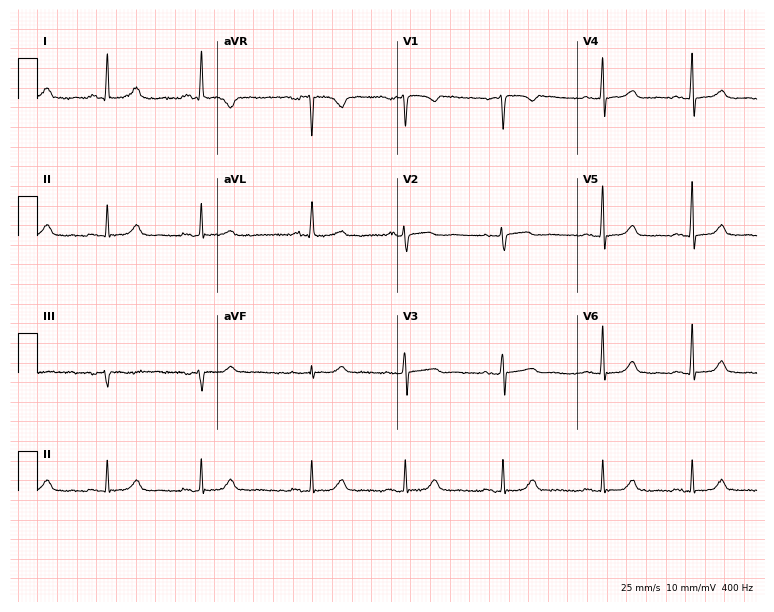
12-lead ECG from a female, 48 years old. Labelled as a normal ECG.